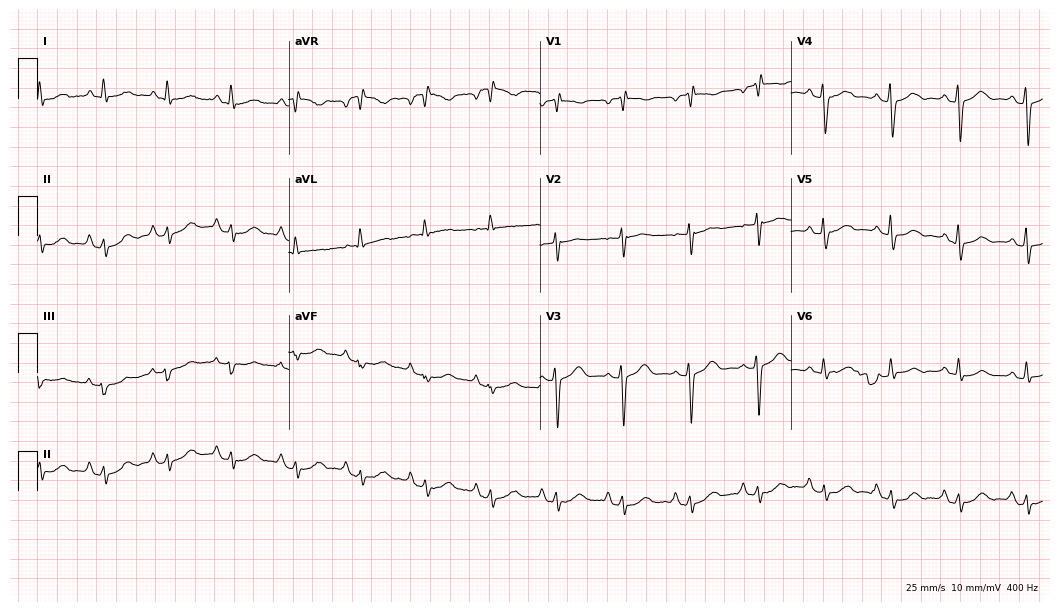
Electrocardiogram, a female, 70 years old. Of the six screened findings (first-degree AV block, right bundle branch block, left bundle branch block, sinus bradycardia, atrial fibrillation, sinus tachycardia), none is recorded.